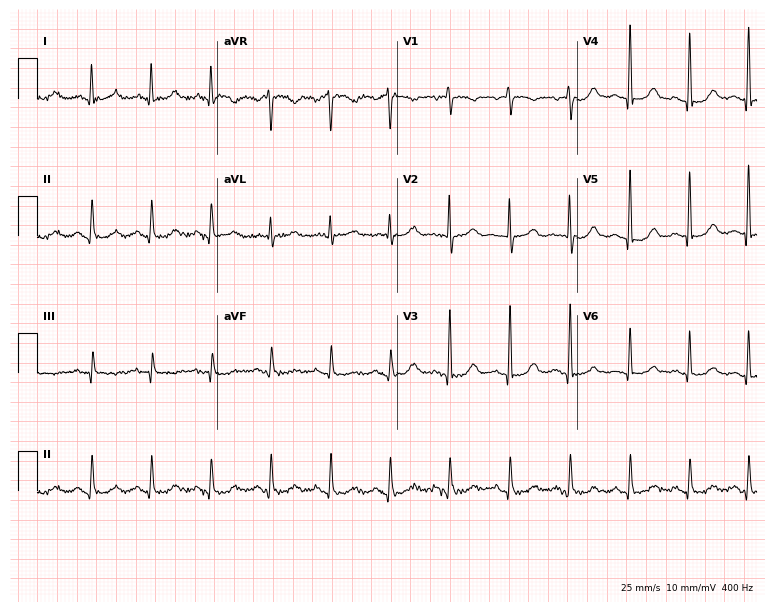
Standard 12-lead ECG recorded from a woman, 64 years old (7.3-second recording at 400 Hz). None of these six findings is recorded: first-degree AV block, right bundle branch block (RBBB), left bundle branch block (LBBB), sinus bradycardia, atrial fibrillation (AF), sinus tachycardia. Findings outside these six are not listed.